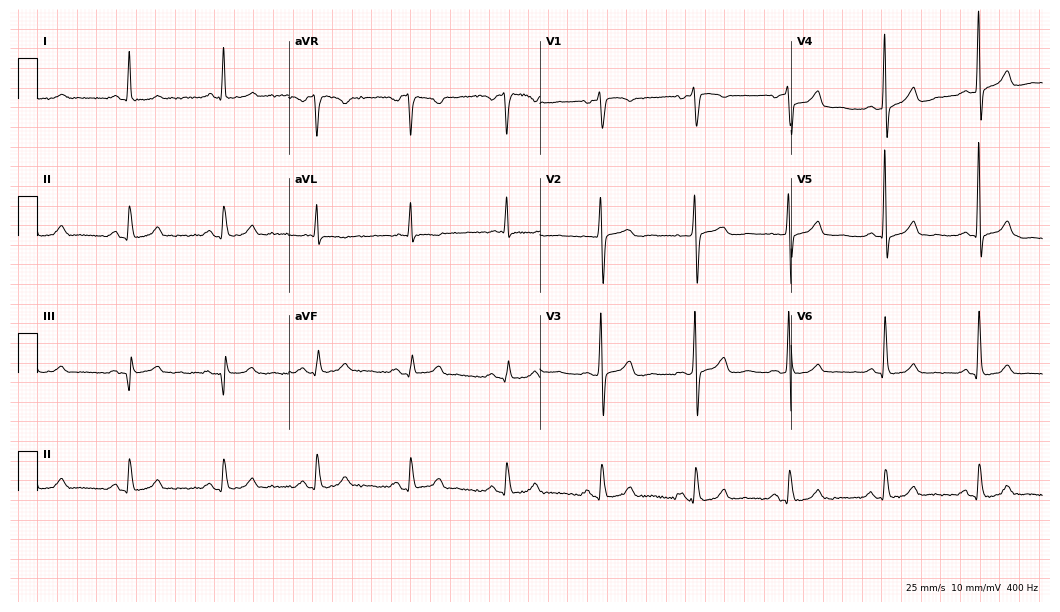
Electrocardiogram (10.2-second recording at 400 Hz), a 77-year-old woman. Of the six screened findings (first-degree AV block, right bundle branch block, left bundle branch block, sinus bradycardia, atrial fibrillation, sinus tachycardia), none is recorded. Only these six findings were labelled.